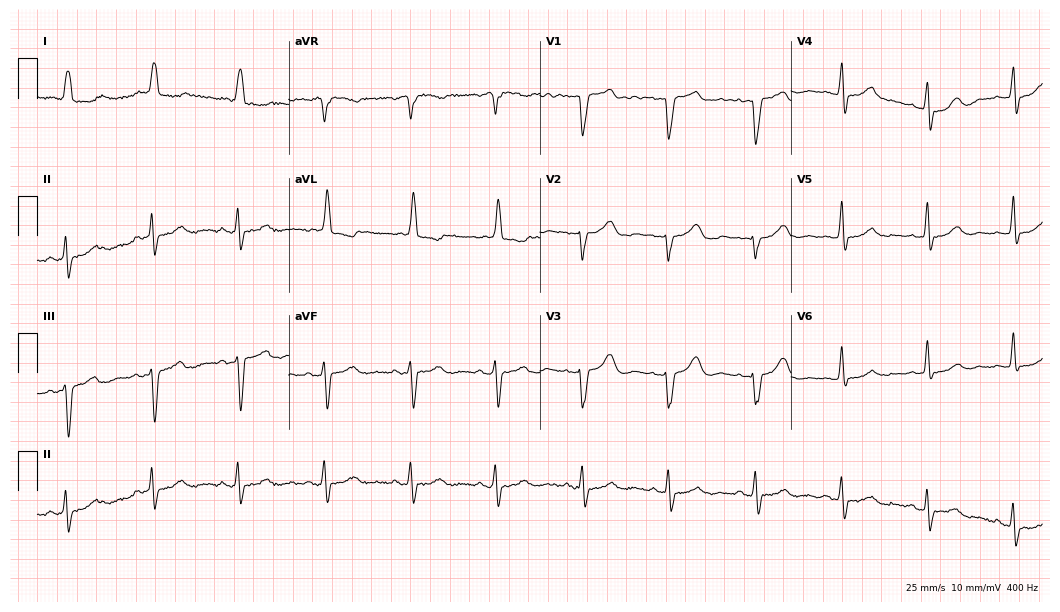
Electrocardiogram (10.2-second recording at 400 Hz), a female patient, 85 years old. Of the six screened findings (first-degree AV block, right bundle branch block, left bundle branch block, sinus bradycardia, atrial fibrillation, sinus tachycardia), none is recorded. Other findings, if any, are not listed.